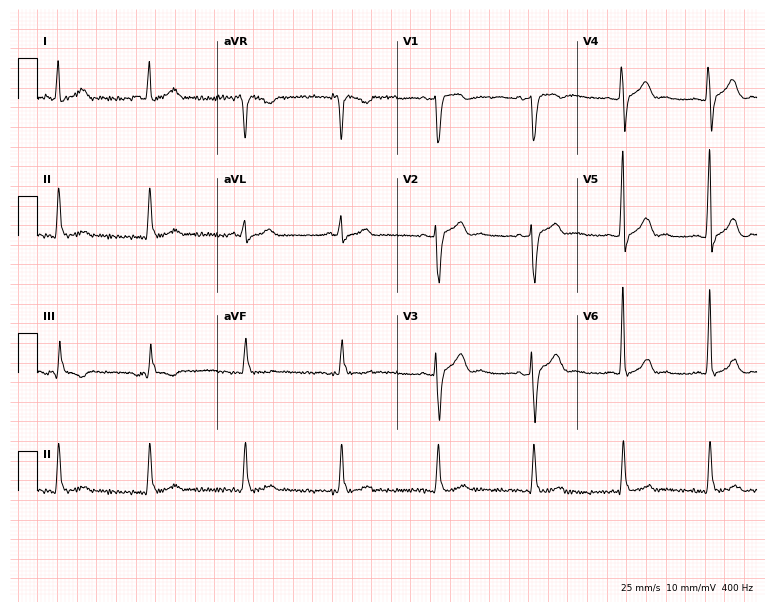
12-lead ECG (7.3-second recording at 400 Hz) from a male patient, 48 years old. Screened for six findings — first-degree AV block, right bundle branch block, left bundle branch block, sinus bradycardia, atrial fibrillation, sinus tachycardia — none is recorded.